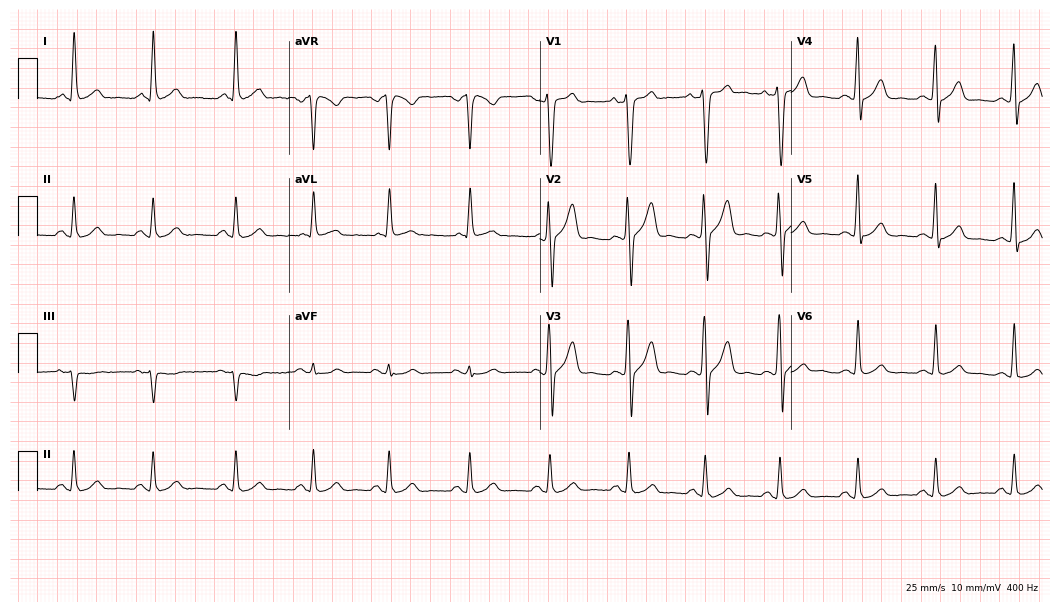
Electrocardiogram, a 46-year-old male. Of the six screened findings (first-degree AV block, right bundle branch block, left bundle branch block, sinus bradycardia, atrial fibrillation, sinus tachycardia), none is recorded.